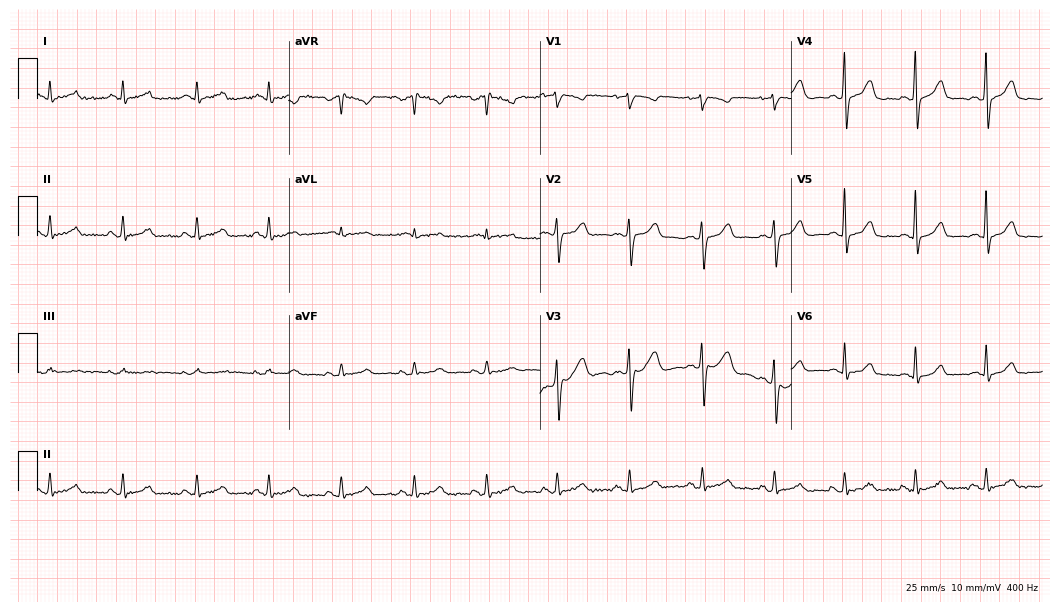
ECG — a female, 39 years old. Screened for six findings — first-degree AV block, right bundle branch block (RBBB), left bundle branch block (LBBB), sinus bradycardia, atrial fibrillation (AF), sinus tachycardia — none is recorded. Findings outside these six are not listed.